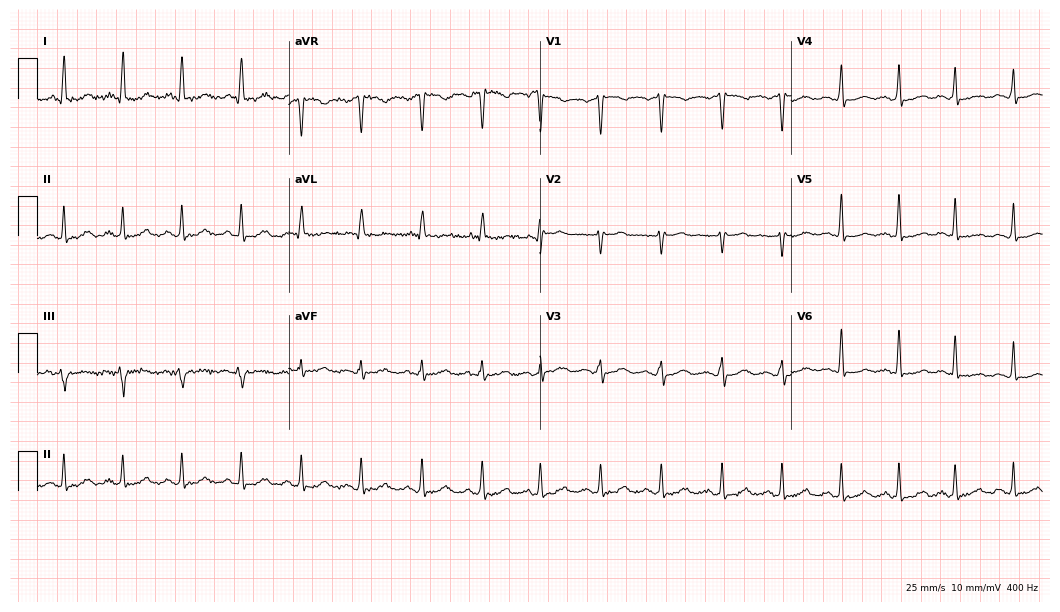
ECG (10.2-second recording at 400 Hz) — a female, 45 years old. Screened for six findings — first-degree AV block, right bundle branch block, left bundle branch block, sinus bradycardia, atrial fibrillation, sinus tachycardia — none is recorded. Findings outside these six are not listed.